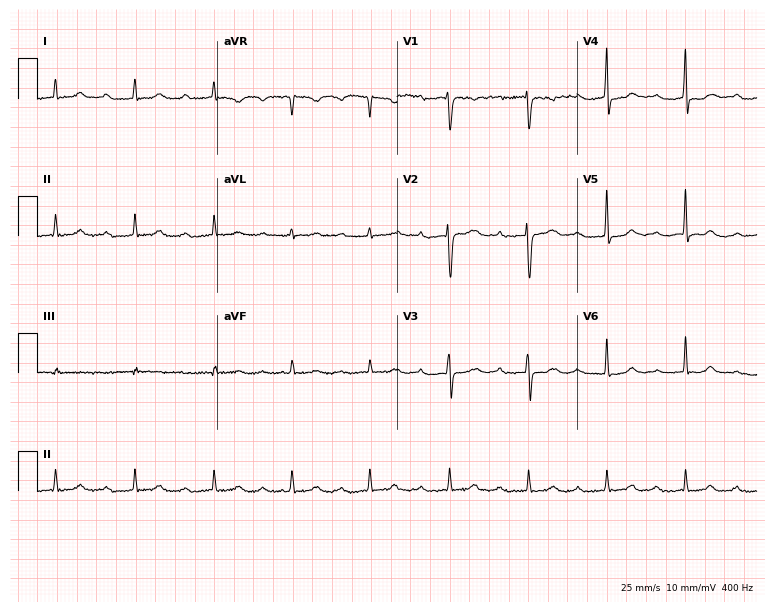
12-lead ECG from a 42-year-old female. Shows first-degree AV block.